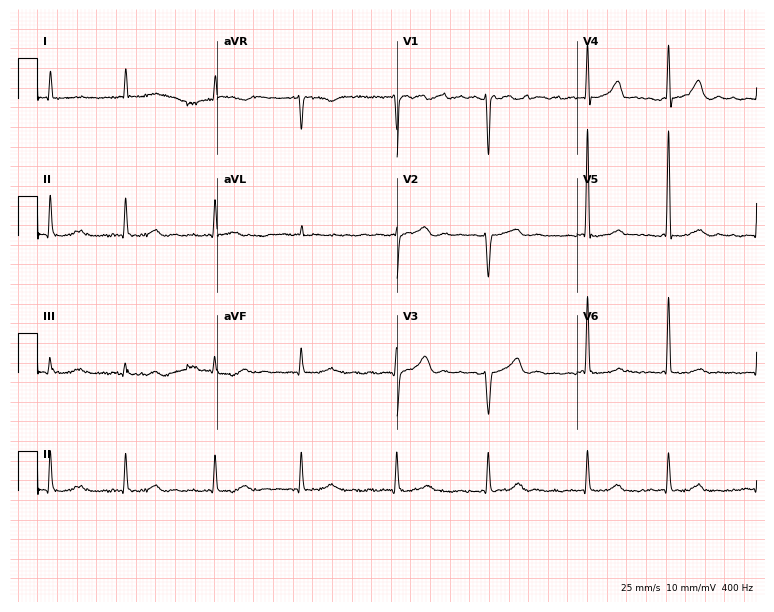
Resting 12-lead electrocardiogram (7.3-second recording at 400 Hz). Patient: a 73-year-old male. The tracing shows atrial fibrillation.